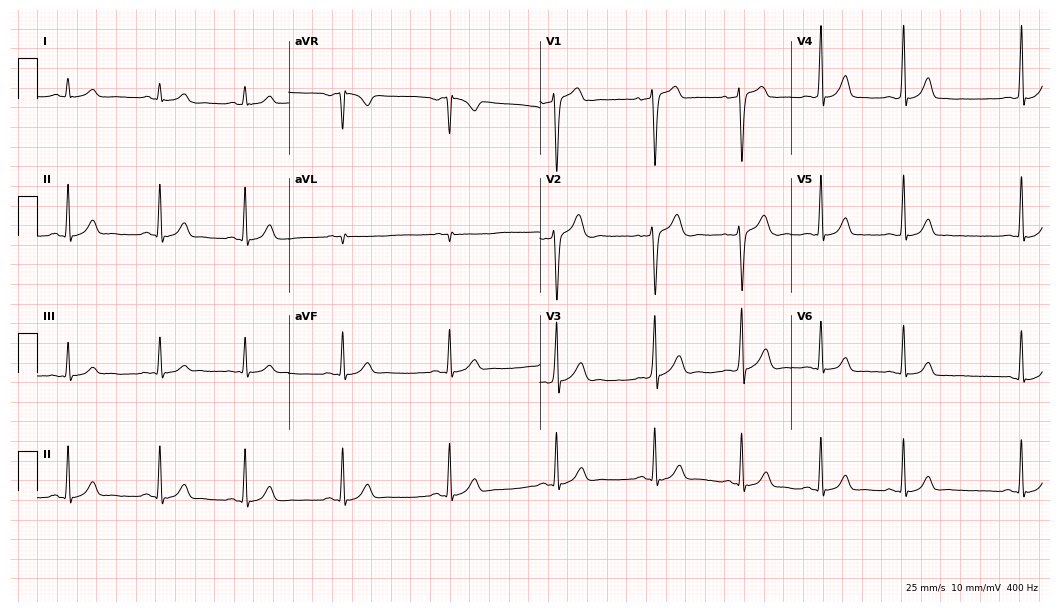
12-lead ECG from a male patient, 22 years old (10.2-second recording at 400 Hz). Recorded interpretation: within normal limits.